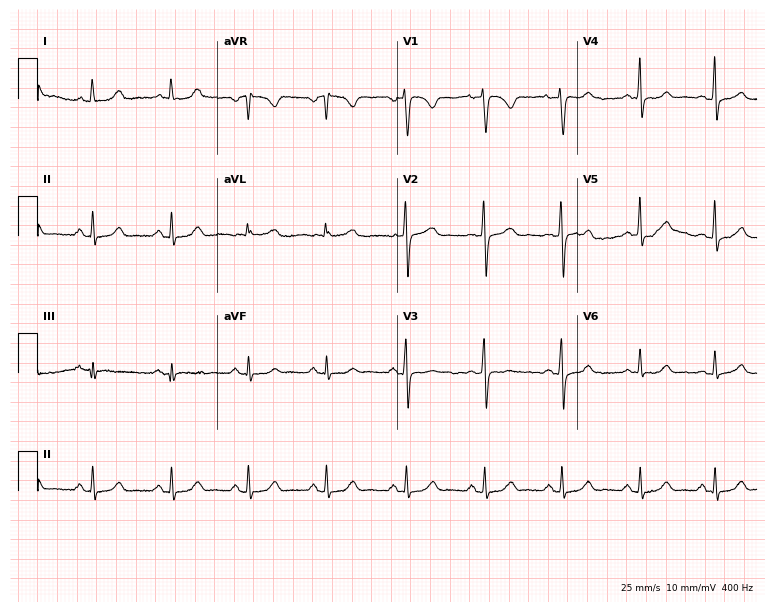
12-lead ECG (7.3-second recording at 400 Hz) from a female, 36 years old. Labelled as a normal ECG.